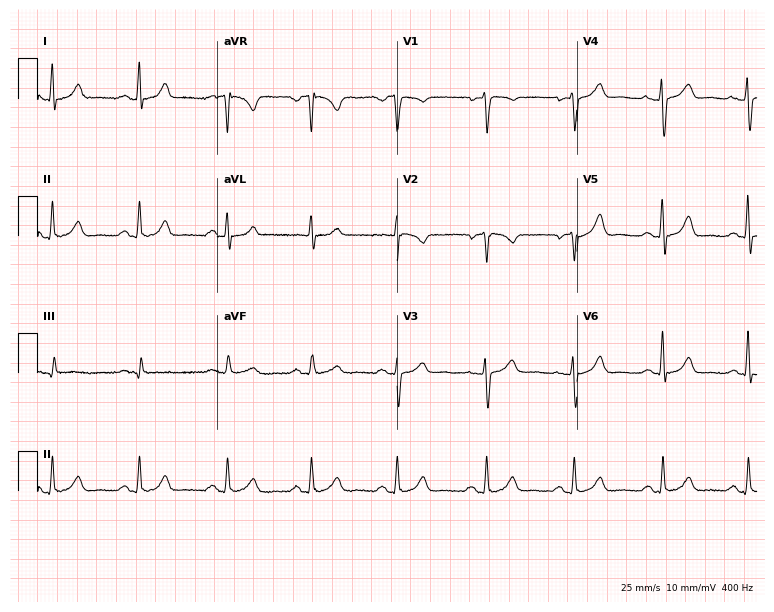
Standard 12-lead ECG recorded from a female, 50 years old (7.3-second recording at 400 Hz). Read as a normal ECG.